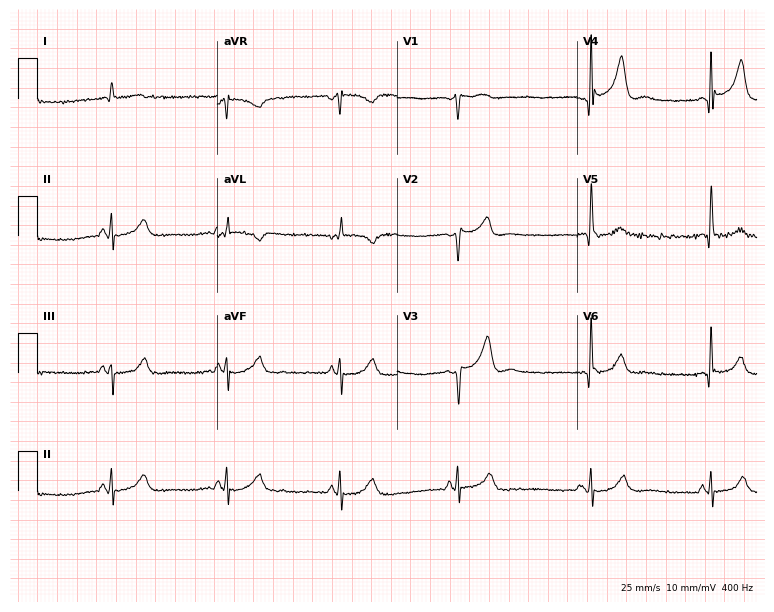
Electrocardiogram (7.3-second recording at 400 Hz), a male patient, 62 years old. Of the six screened findings (first-degree AV block, right bundle branch block (RBBB), left bundle branch block (LBBB), sinus bradycardia, atrial fibrillation (AF), sinus tachycardia), none is recorded. Findings outside these six are not listed.